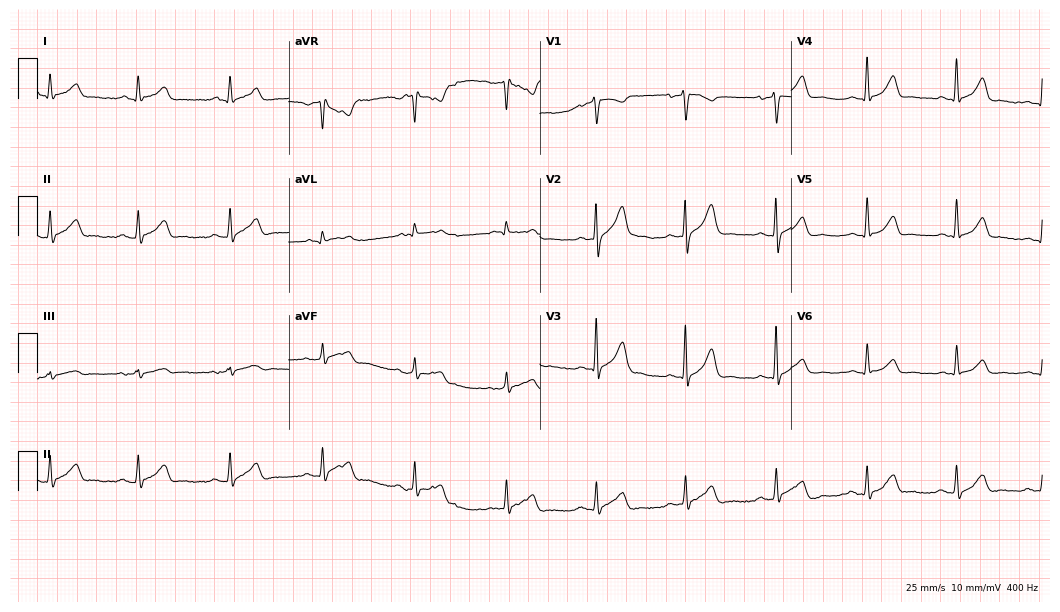
Standard 12-lead ECG recorded from a 44-year-old male. Read as a normal ECG.